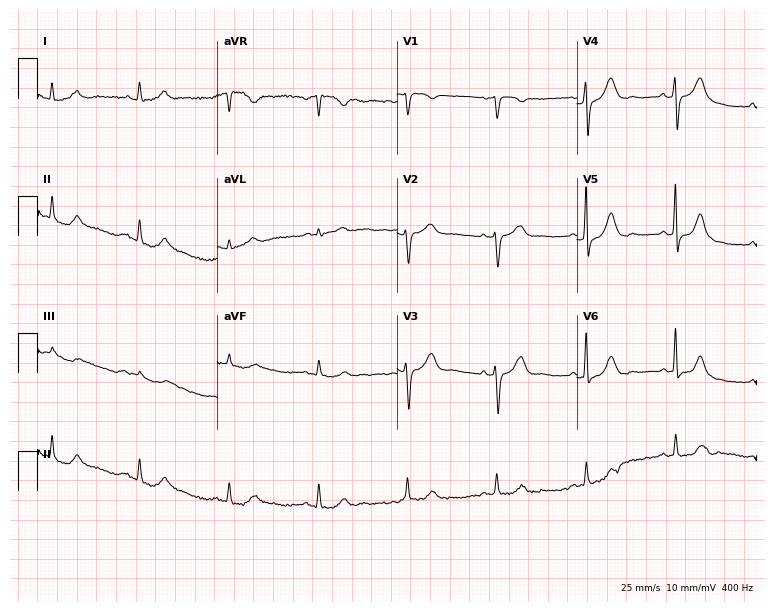
Electrocardiogram, a 55-year-old woman. Of the six screened findings (first-degree AV block, right bundle branch block, left bundle branch block, sinus bradycardia, atrial fibrillation, sinus tachycardia), none is recorded. Findings outside these six are not listed.